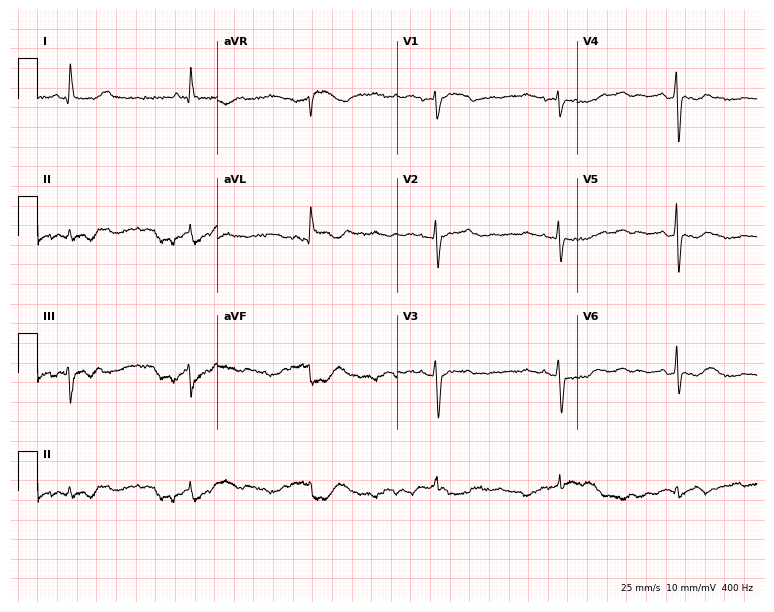
ECG (7.3-second recording at 400 Hz) — a 58-year-old woman. Labelled as a normal ECG.